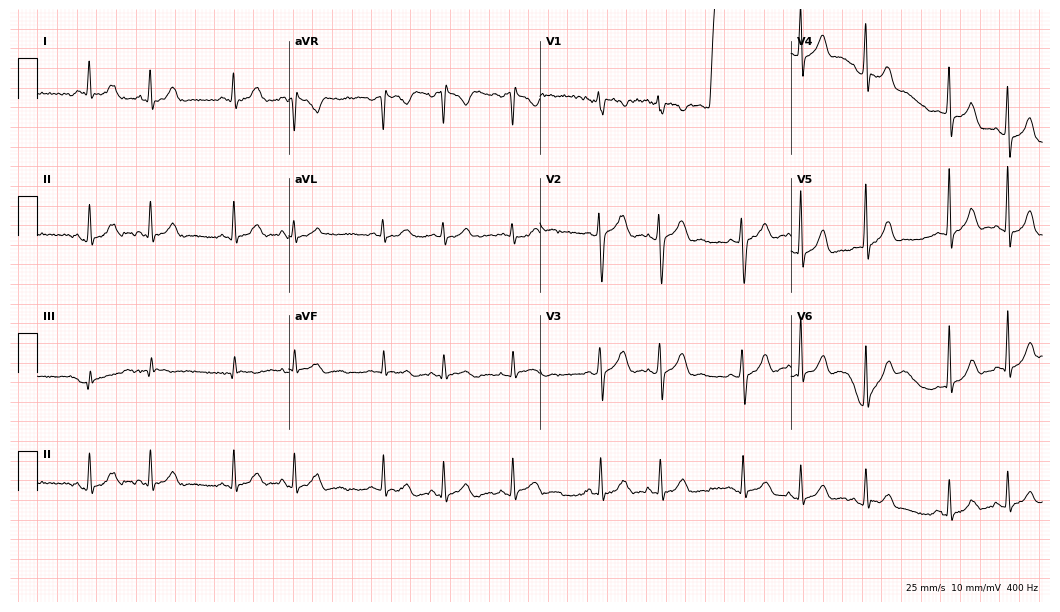
Standard 12-lead ECG recorded from a female, 17 years old. None of these six findings is recorded: first-degree AV block, right bundle branch block, left bundle branch block, sinus bradycardia, atrial fibrillation, sinus tachycardia.